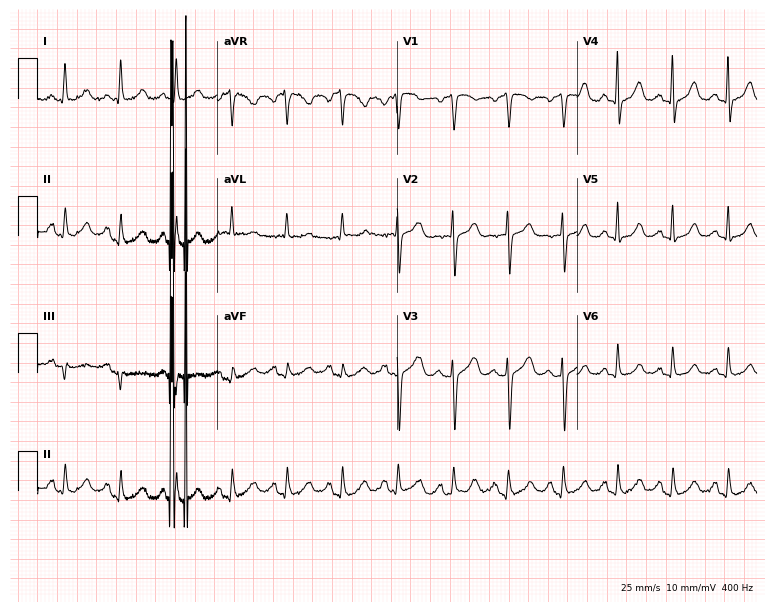
12-lead ECG from a 71-year-old woman (7.3-second recording at 400 Hz). Shows sinus tachycardia (a sinus rate of 100 beats per minute or more).